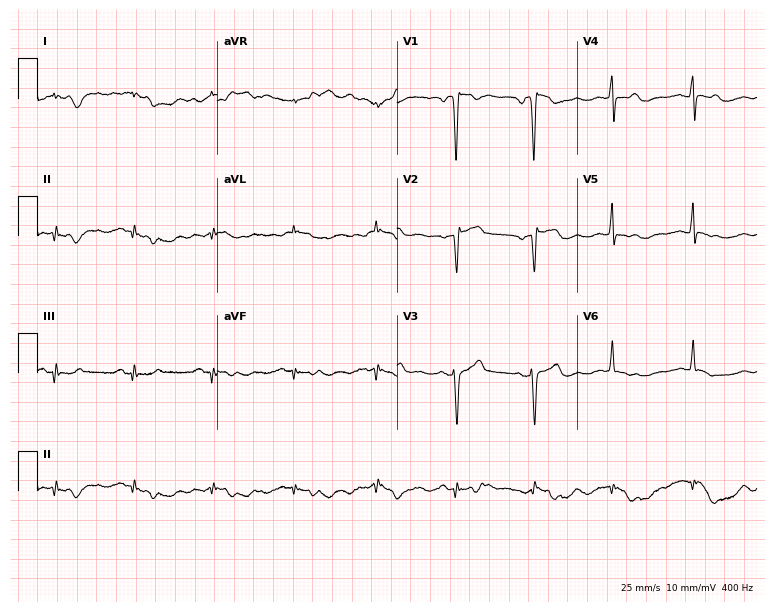
ECG — a female patient, 56 years old. Screened for six findings — first-degree AV block, right bundle branch block, left bundle branch block, sinus bradycardia, atrial fibrillation, sinus tachycardia — none is recorded.